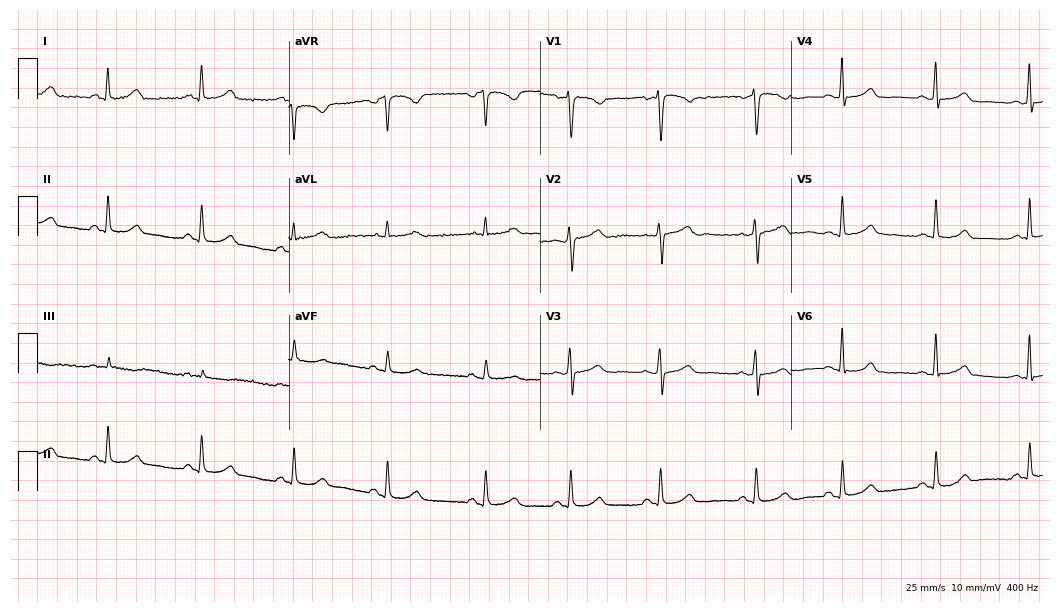
Resting 12-lead electrocardiogram (10.2-second recording at 400 Hz). Patient: a 43-year-old female. Read as a normal ECG.